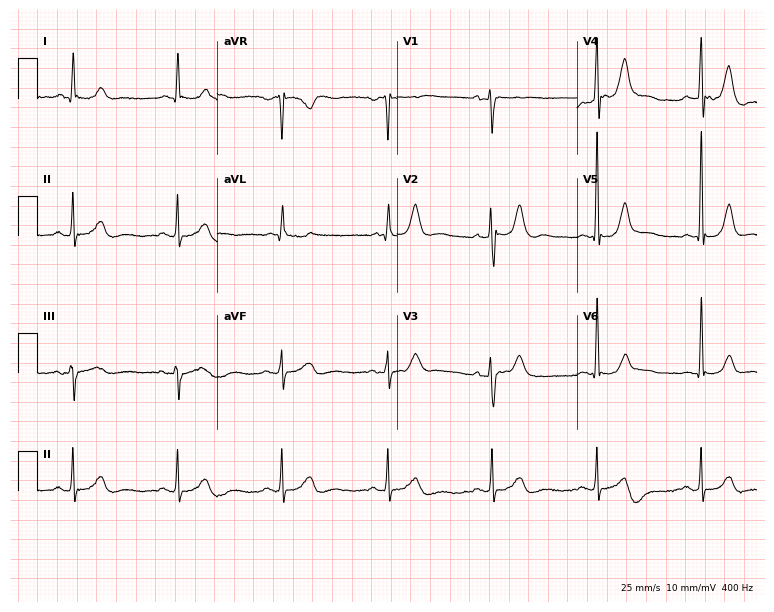
Standard 12-lead ECG recorded from a 75-year-old male (7.3-second recording at 400 Hz). Read as a normal ECG.